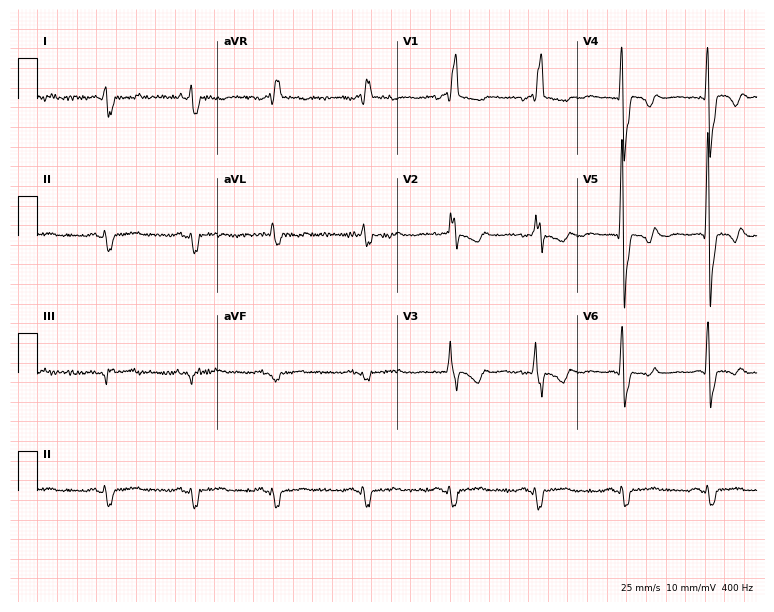
12-lead ECG from an 83-year-old male patient. Findings include right bundle branch block.